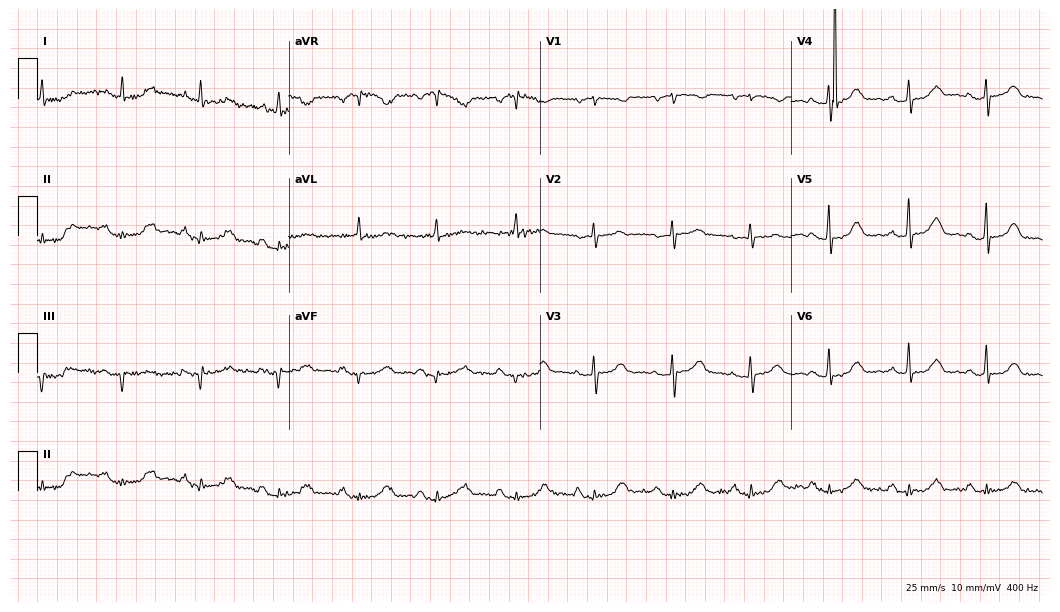
12-lead ECG from a 68-year-old woman. Recorded interpretation: within normal limits.